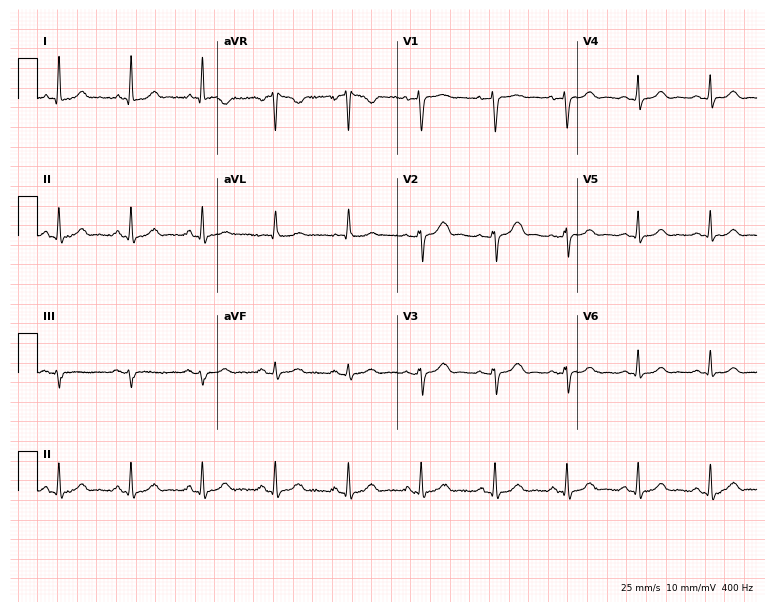
Standard 12-lead ECG recorded from a female, 47 years old (7.3-second recording at 400 Hz). Read as a normal ECG.